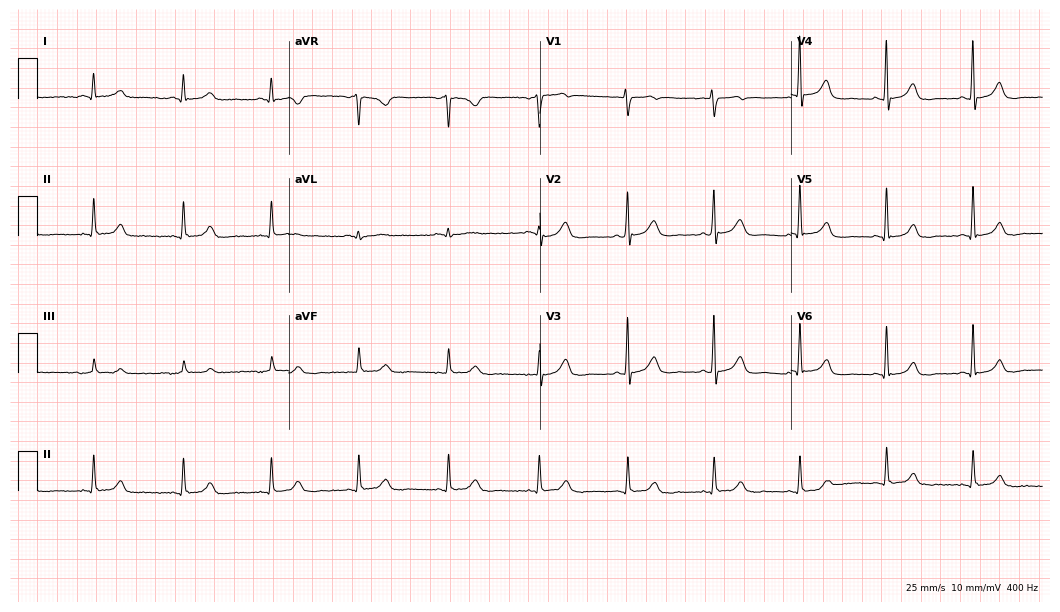
12-lead ECG (10.2-second recording at 400 Hz) from a 53-year-old male patient. Labelled as a normal ECG.